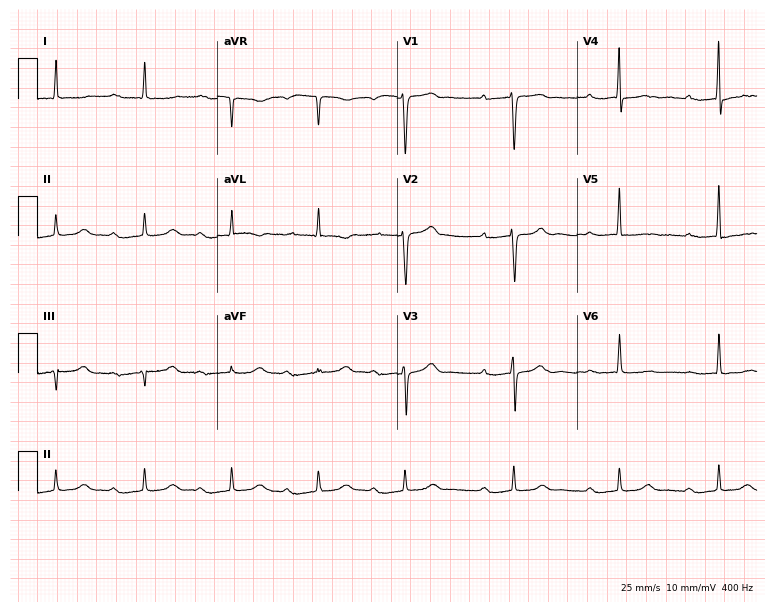
Electrocardiogram (7.3-second recording at 400 Hz), a 72-year-old female. Interpretation includes first-degree AV block.